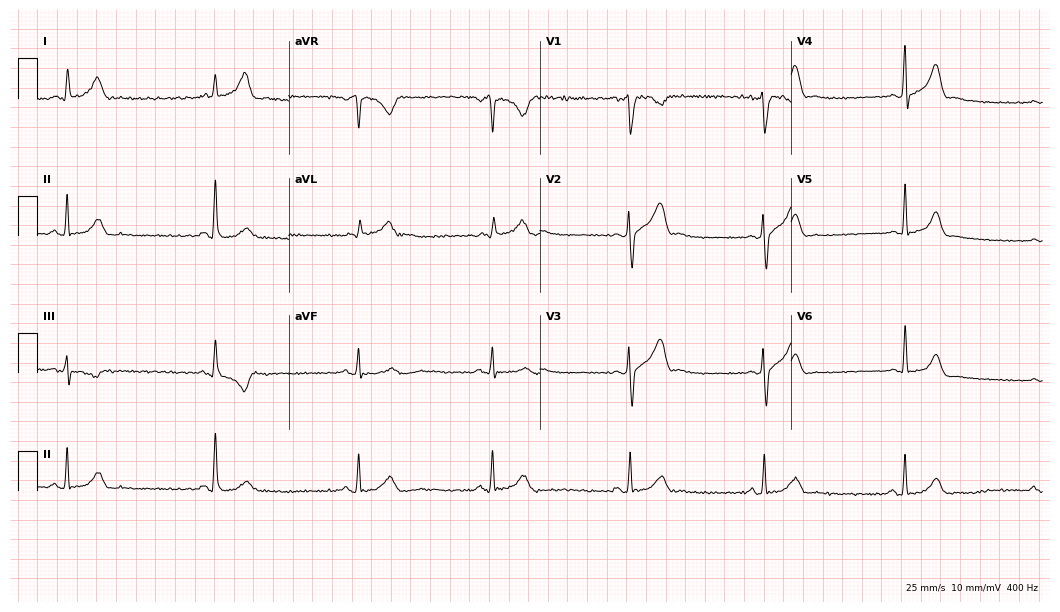
12-lead ECG (10.2-second recording at 400 Hz) from a male patient, 54 years old. Findings include sinus bradycardia (a sinus rate of 50 beats per minute or less).